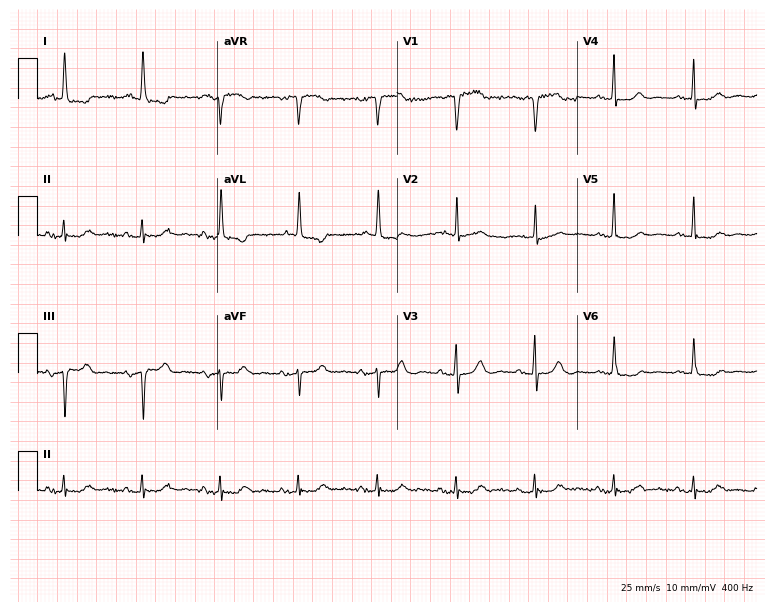
12-lead ECG (7.3-second recording at 400 Hz) from an 82-year-old woman. Screened for six findings — first-degree AV block, right bundle branch block, left bundle branch block, sinus bradycardia, atrial fibrillation, sinus tachycardia — none is recorded.